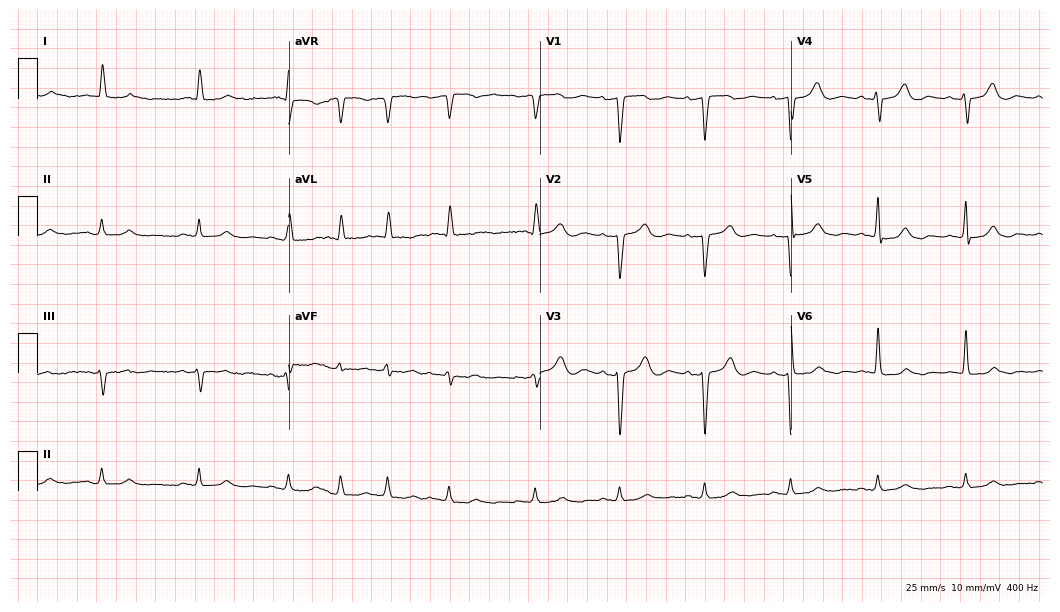
Standard 12-lead ECG recorded from a 79-year-old woman (10.2-second recording at 400 Hz). None of these six findings is recorded: first-degree AV block, right bundle branch block, left bundle branch block, sinus bradycardia, atrial fibrillation, sinus tachycardia.